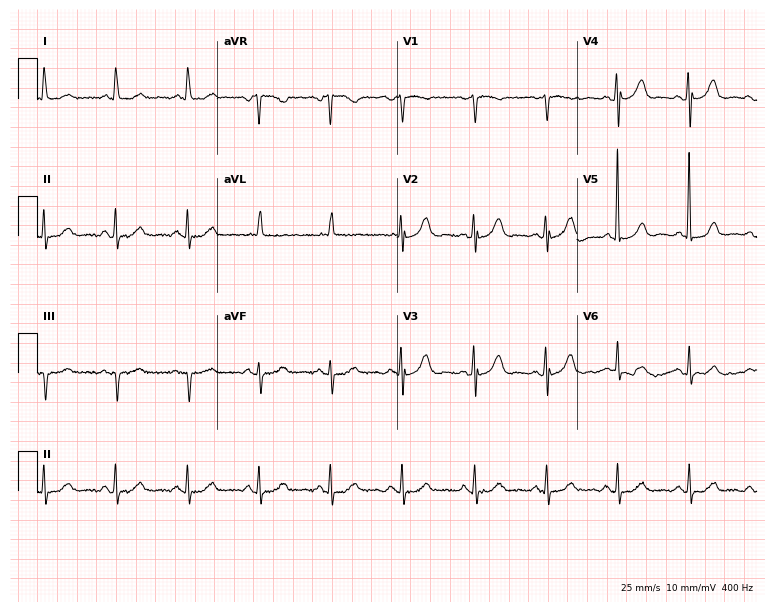
Resting 12-lead electrocardiogram. Patient: a female, 84 years old. Read as a normal ECG.